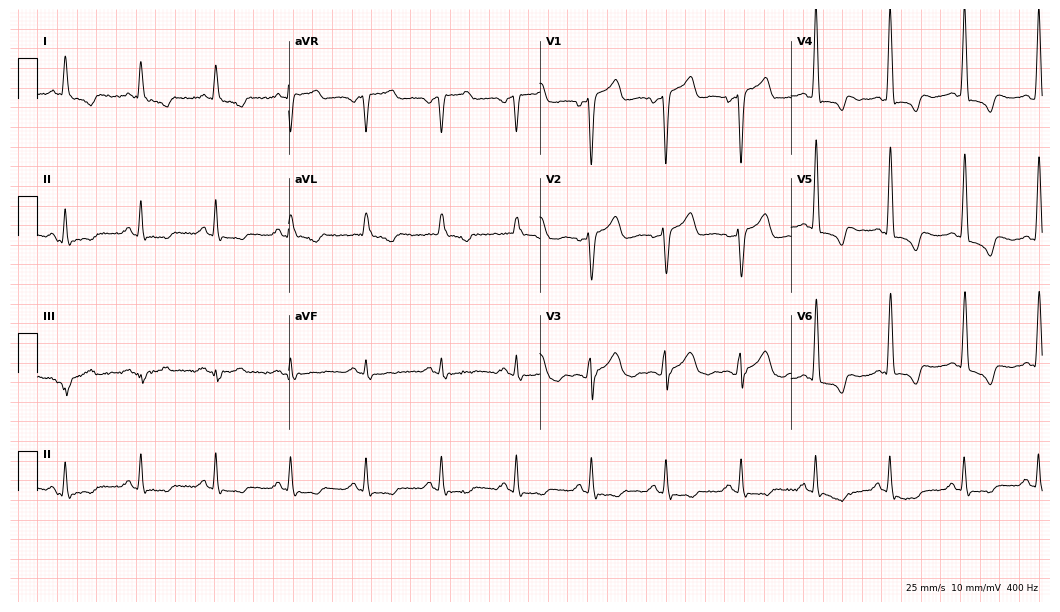
12-lead ECG from a 79-year-old man. No first-degree AV block, right bundle branch block (RBBB), left bundle branch block (LBBB), sinus bradycardia, atrial fibrillation (AF) or sinus tachycardia recorded for this tracing.